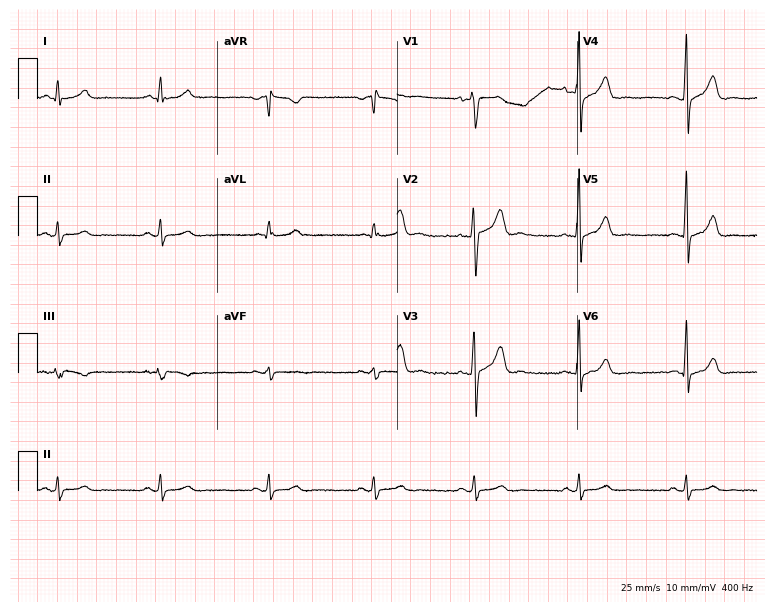
Electrocardiogram (7.3-second recording at 400 Hz), a 23-year-old male patient. Overall reading on record: normal ECG.